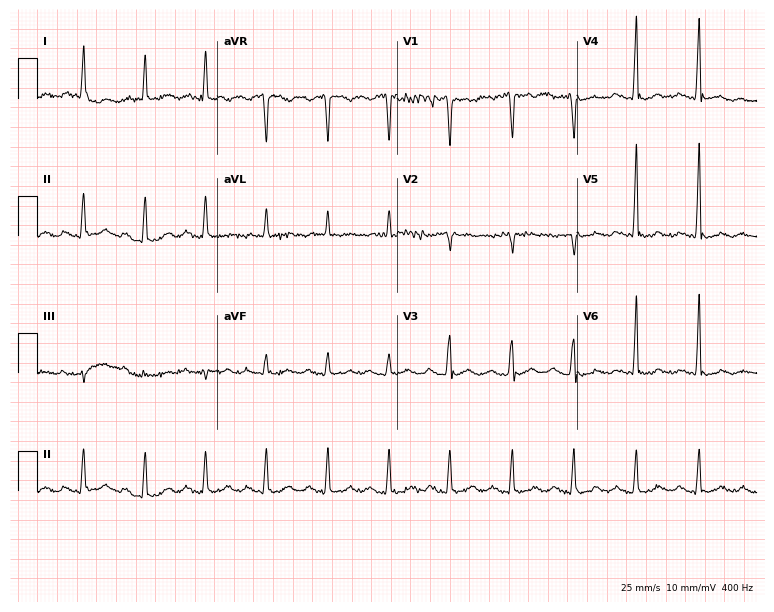
12-lead ECG from a male patient, 71 years old. Screened for six findings — first-degree AV block, right bundle branch block, left bundle branch block, sinus bradycardia, atrial fibrillation, sinus tachycardia — none is recorded. Only these six findings were labelled.